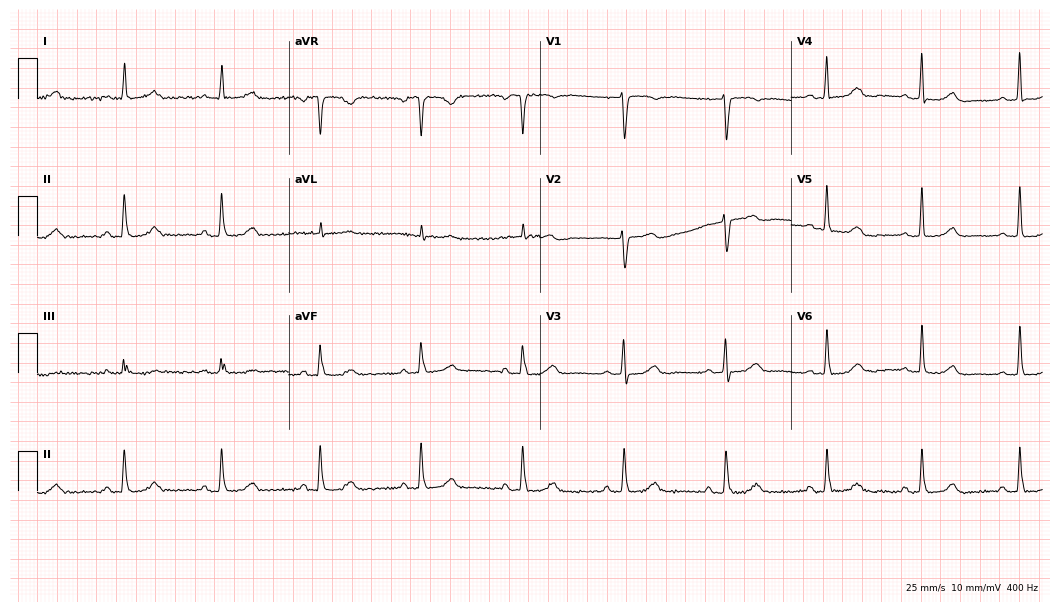
12-lead ECG from an 83-year-old female. No first-degree AV block, right bundle branch block, left bundle branch block, sinus bradycardia, atrial fibrillation or sinus tachycardia recorded for this tracing.